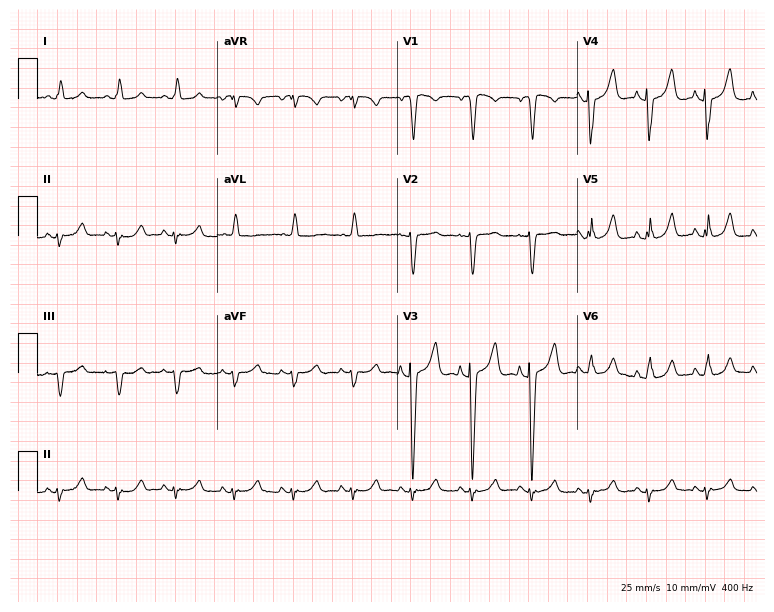
Resting 12-lead electrocardiogram (7.3-second recording at 400 Hz). Patient: a male, 52 years old. None of these six findings is recorded: first-degree AV block, right bundle branch block (RBBB), left bundle branch block (LBBB), sinus bradycardia, atrial fibrillation (AF), sinus tachycardia. Only these six findings were labelled.